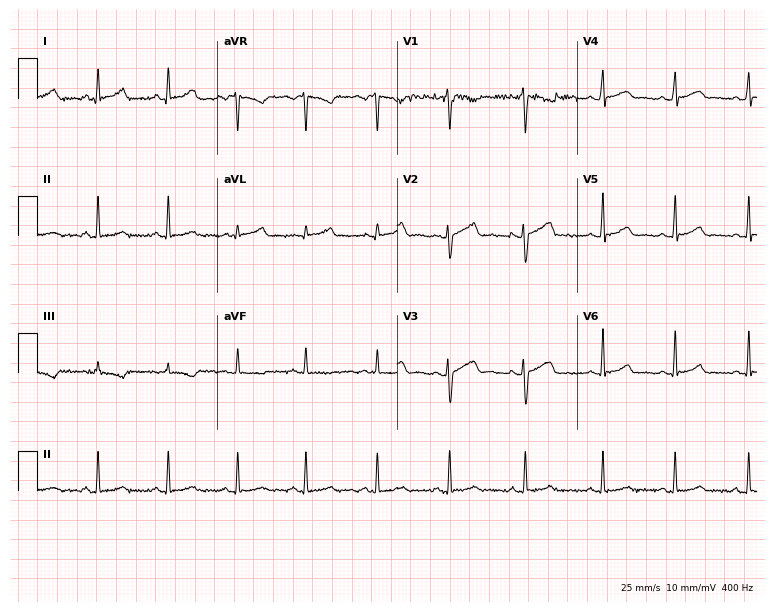
Standard 12-lead ECG recorded from a female patient, 29 years old (7.3-second recording at 400 Hz). Read as a normal ECG.